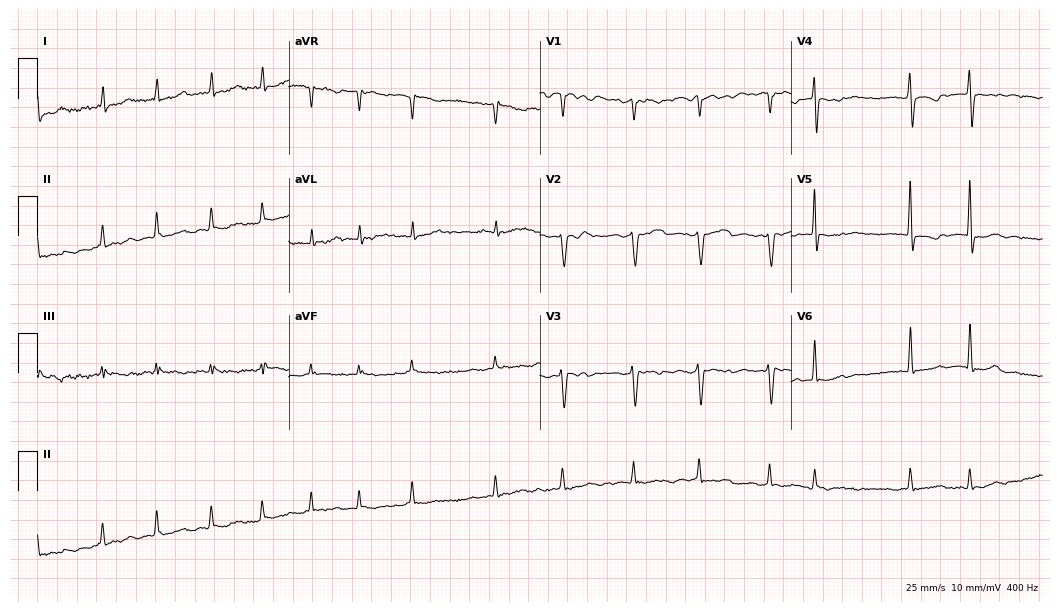
12-lead ECG from a female patient, 67 years old (10.2-second recording at 400 Hz). Shows atrial fibrillation.